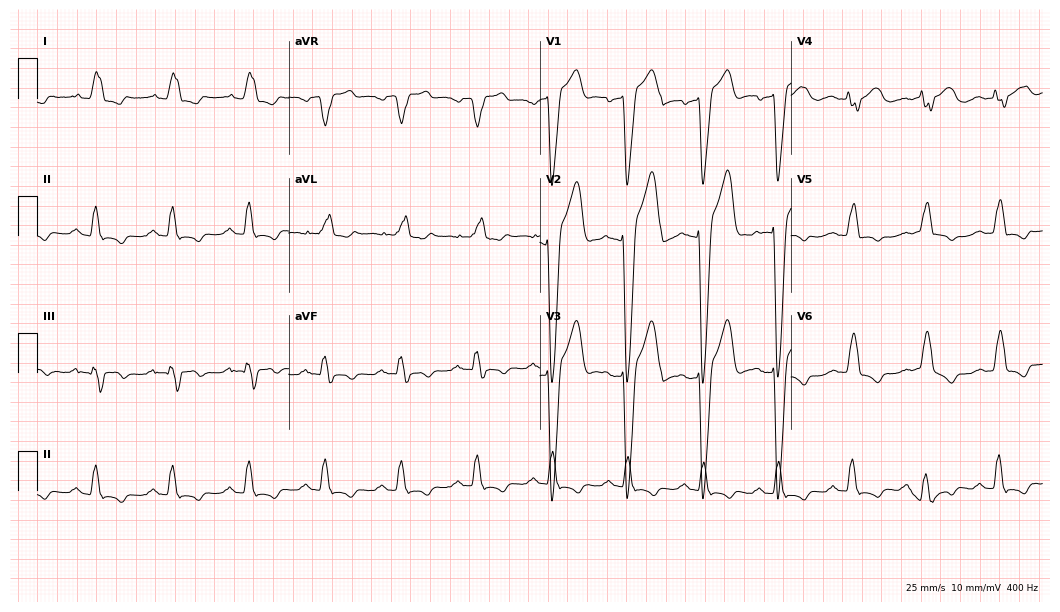
Resting 12-lead electrocardiogram (10.2-second recording at 400 Hz). Patient: a man, 64 years old. The tracing shows left bundle branch block (LBBB).